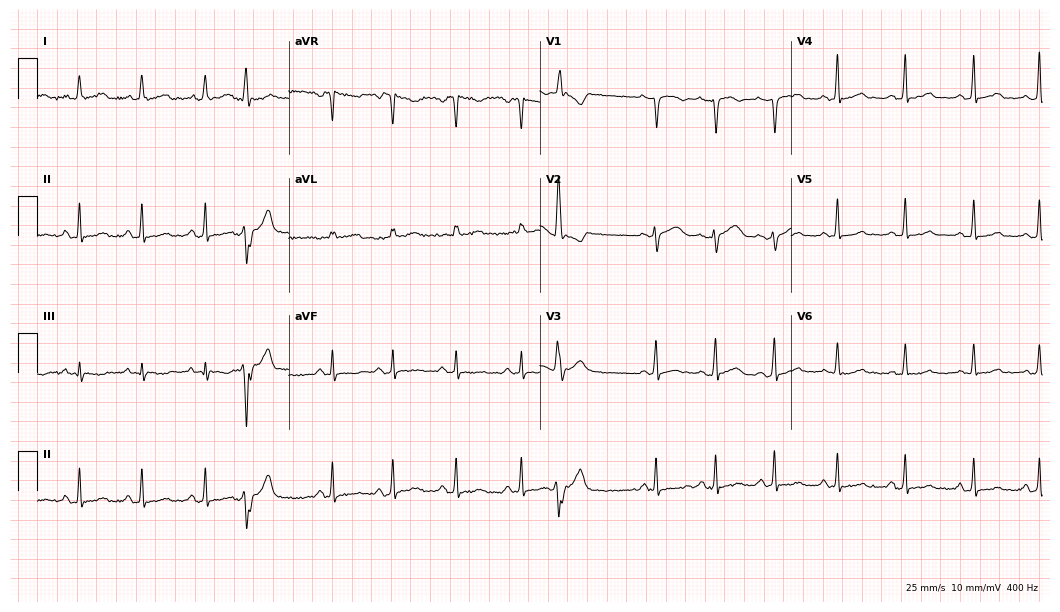
Electrocardiogram (10.2-second recording at 400 Hz), a 33-year-old female patient. Of the six screened findings (first-degree AV block, right bundle branch block (RBBB), left bundle branch block (LBBB), sinus bradycardia, atrial fibrillation (AF), sinus tachycardia), none is recorded.